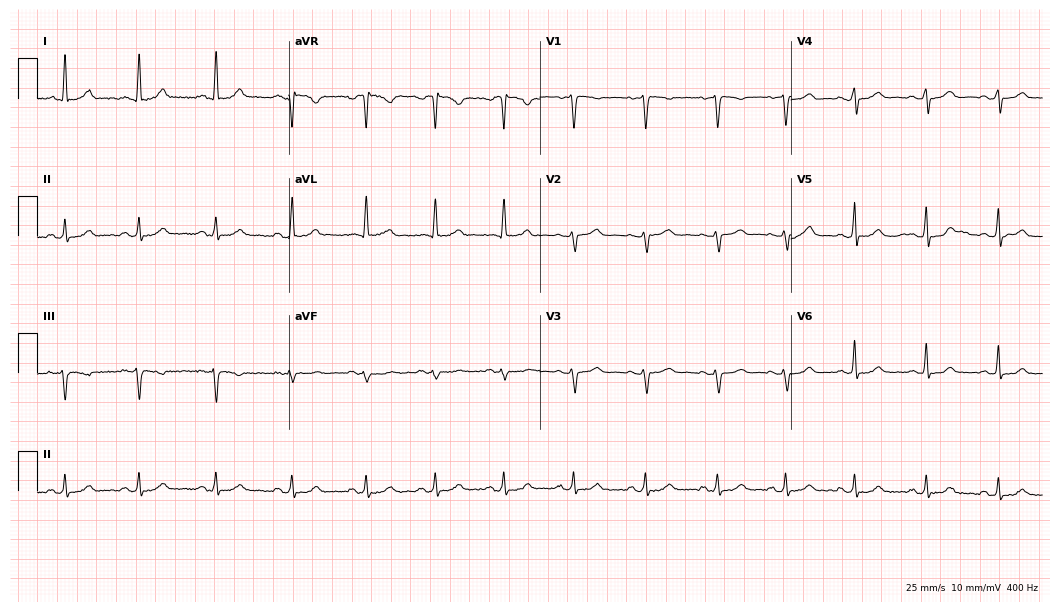
ECG — a female patient, 41 years old. Labelled as a normal ECG.